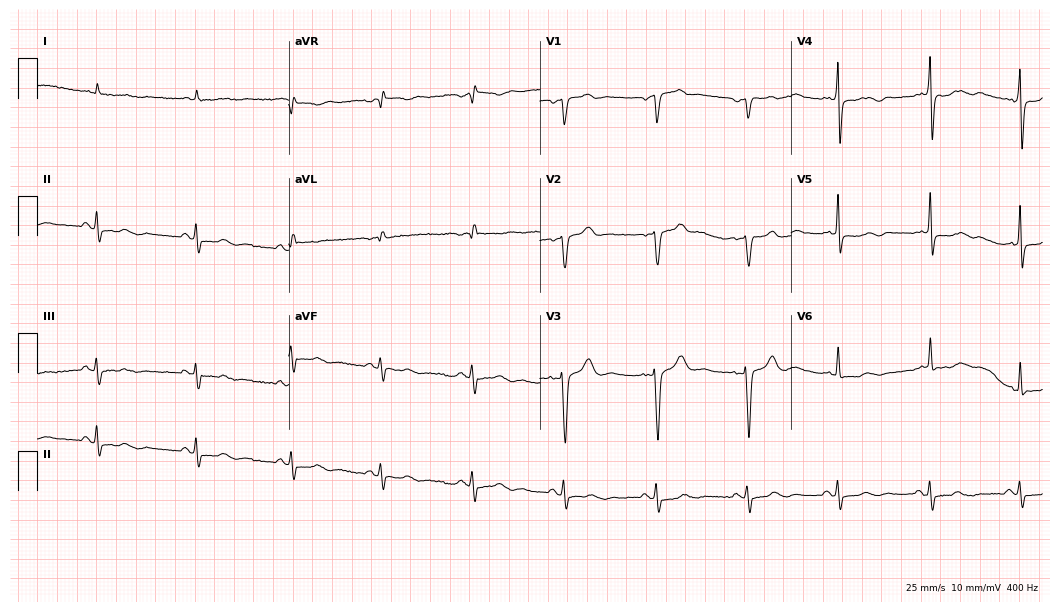
Resting 12-lead electrocardiogram (10.2-second recording at 400 Hz). Patient: a male, 56 years old. Read as a normal ECG.